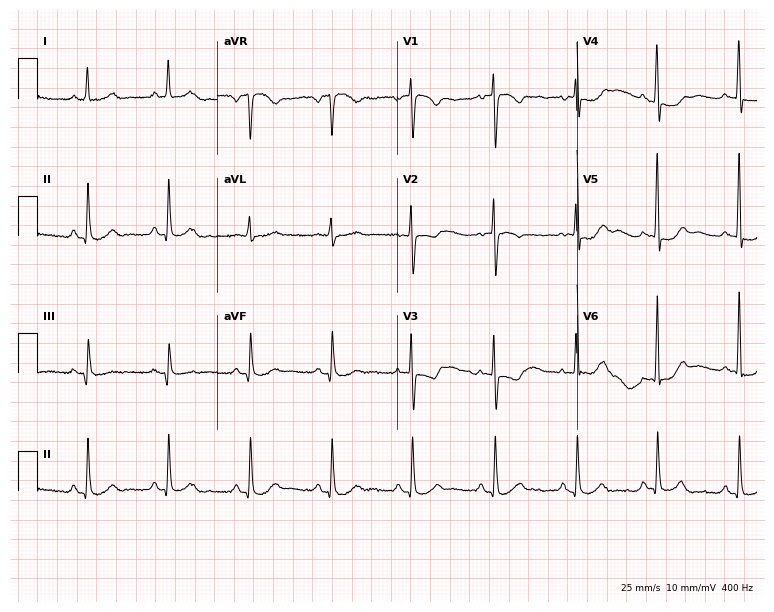
Standard 12-lead ECG recorded from a 61-year-old female. Read as a normal ECG.